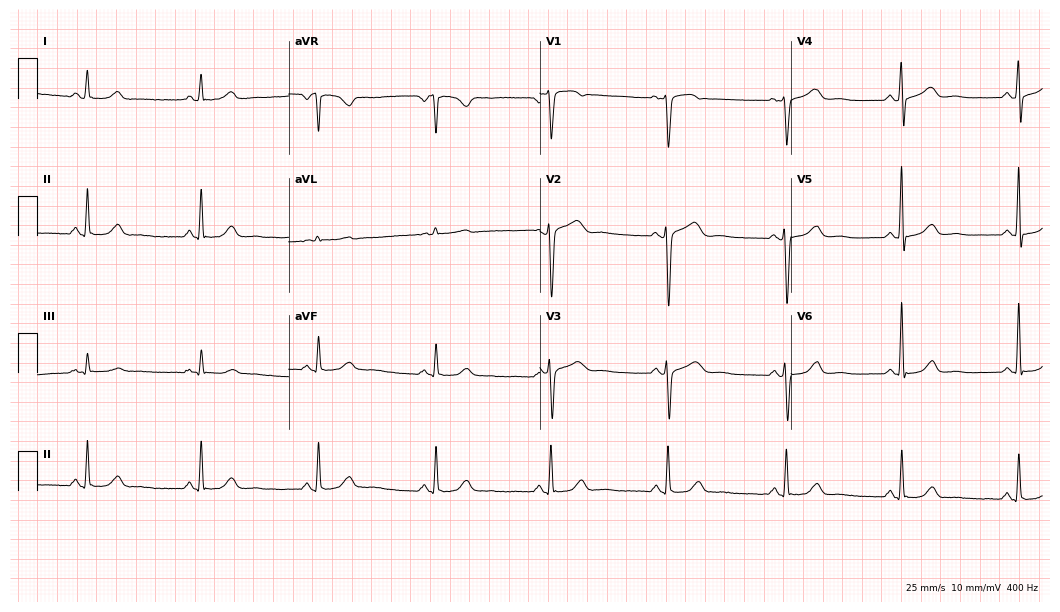
ECG — a 72-year-old woman. Screened for six findings — first-degree AV block, right bundle branch block (RBBB), left bundle branch block (LBBB), sinus bradycardia, atrial fibrillation (AF), sinus tachycardia — none is recorded. Only these six findings were labelled.